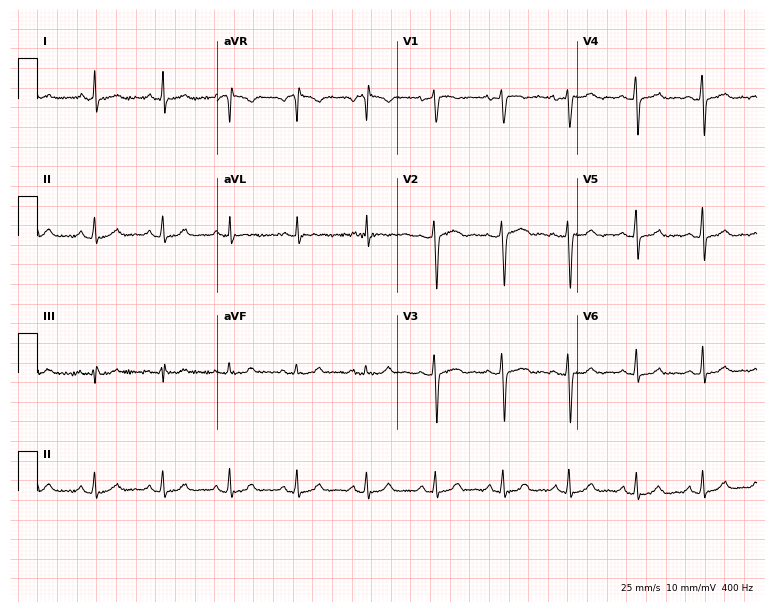
Standard 12-lead ECG recorded from a 21-year-old man (7.3-second recording at 400 Hz). Read as a normal ECG.